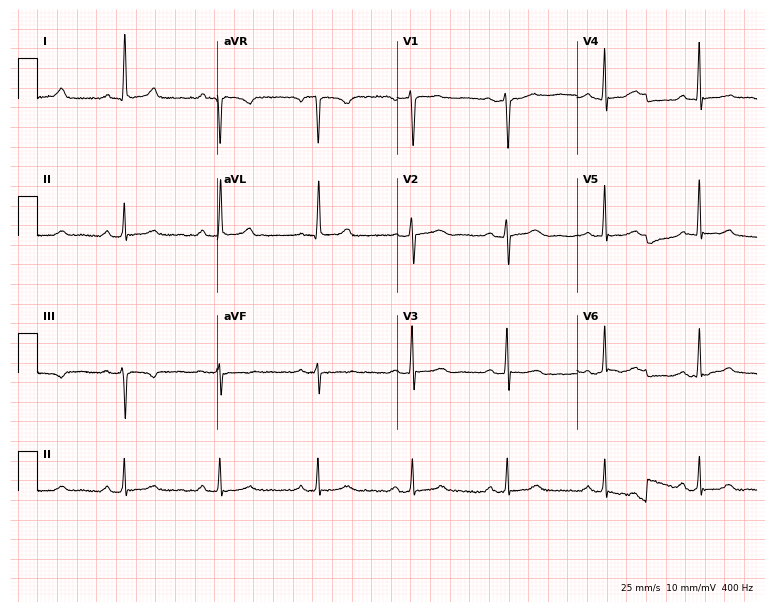
Resting 12-lead electrocardiogram. Patient: a female, 45 years old. Read as a normal ECG.